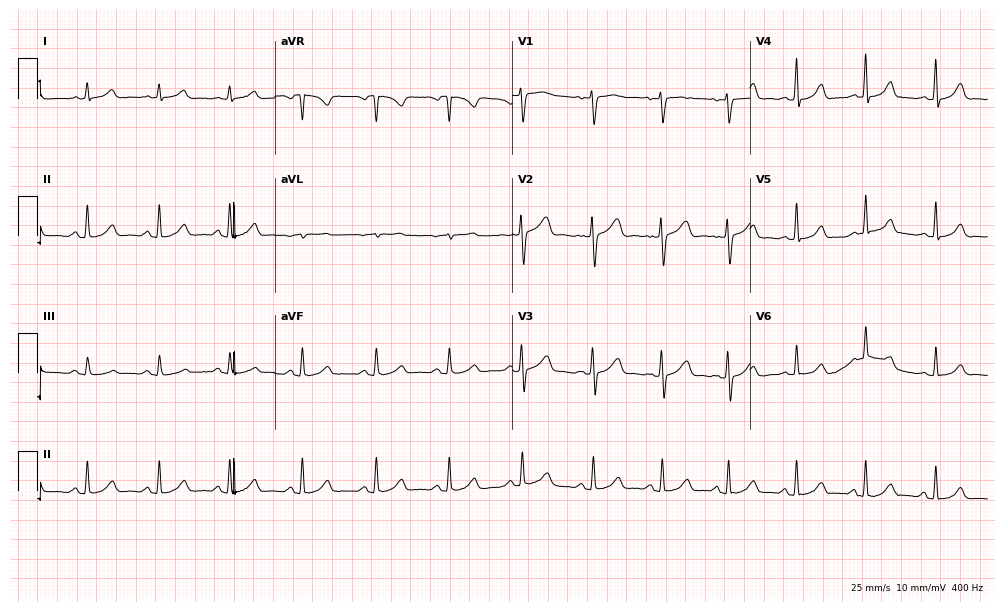
Standard 12-lead ECG recorded from a female patient, 43 years old (9.7-second recording at 400 Hz). Read as a normal ECG.